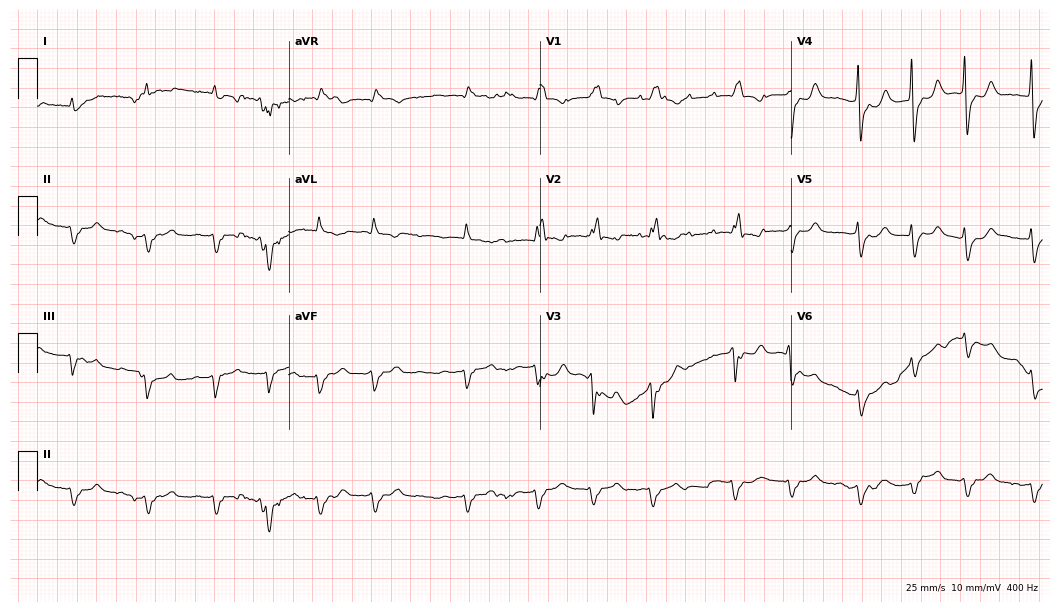
12-lead ECG from a female, 83 years old. Screened for six findings — first-degree AV block, right bundle branch block, left bundle branch block, sinus bradycardia, atrial fibrillation, sinus tachycardia — none is recorded. Findings outside these six are not listed.